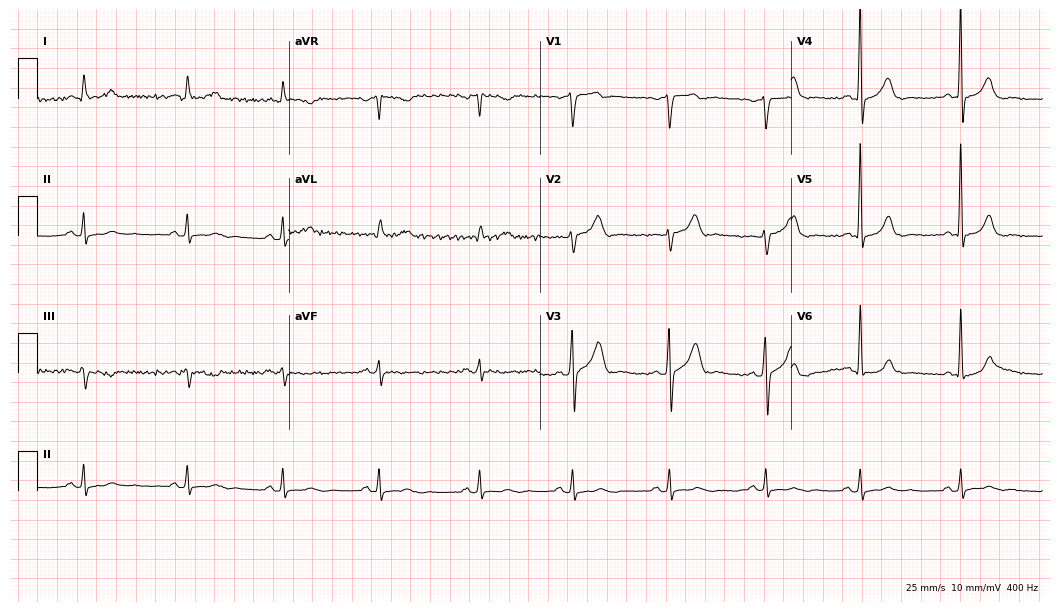
12-lead ECG from a 64-year-old man (10.2-second recording at 400 Hz). No first-degree AV block, right bundle branch block, left bundle branch block, sinus bradycardia, atrial fibrillation or sinus tachycardia recorded for this tracing.